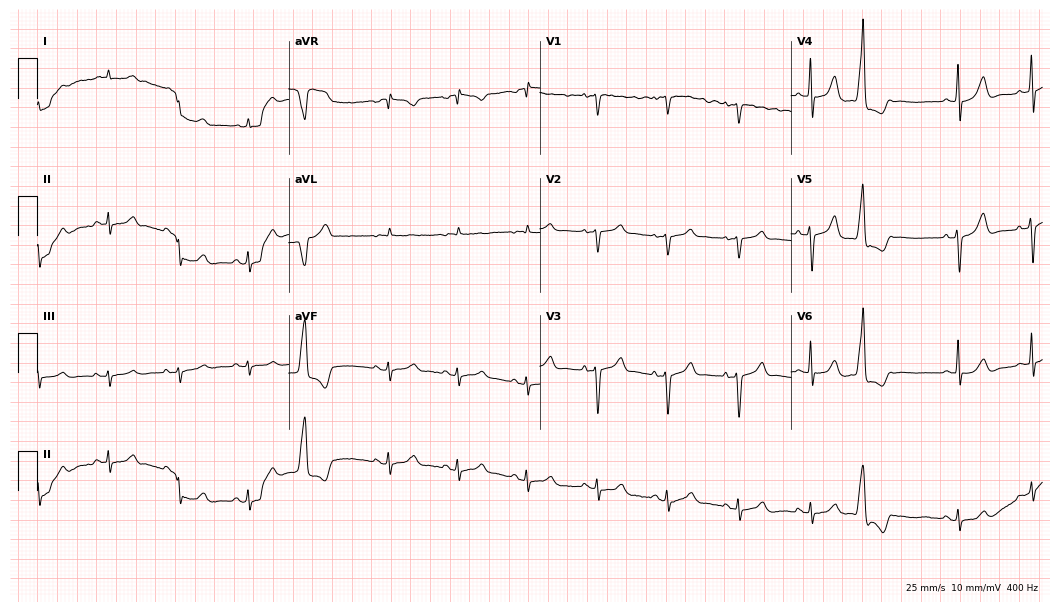
ECG (10.2-second recording at 400 Hz) — a male, 73 years old. Screened for six findings — first-degree AV block, right bundle branch block, left bundle branch block, sinus bradycardia, atrial fibrillation, sinus tachycardia — none is recorded.